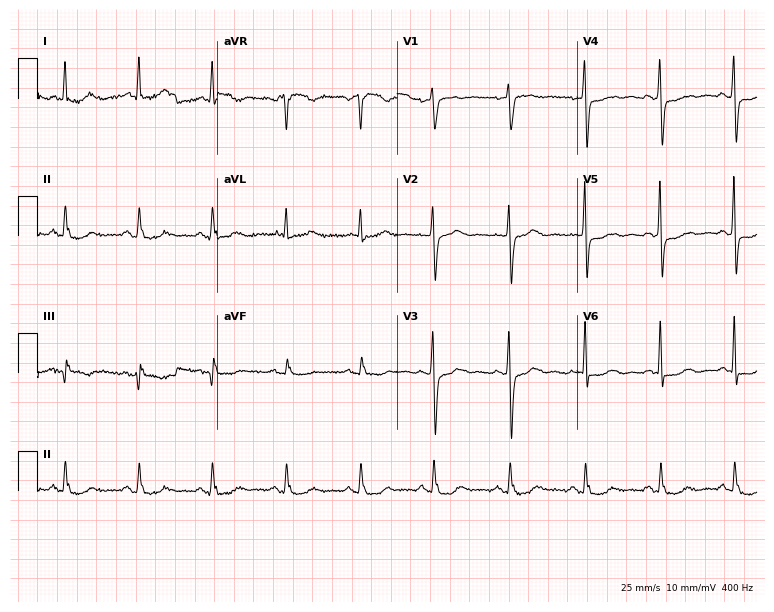
Standard 12-lead ECG recorded from an 82-year-old woman. None of these six findings is recorded: first-degree AV block, right bundle branch block, left bundle branch block, sinus bradycardia, atrial fibrillation, sinus tachycardia. Findings outside these six are not listed.